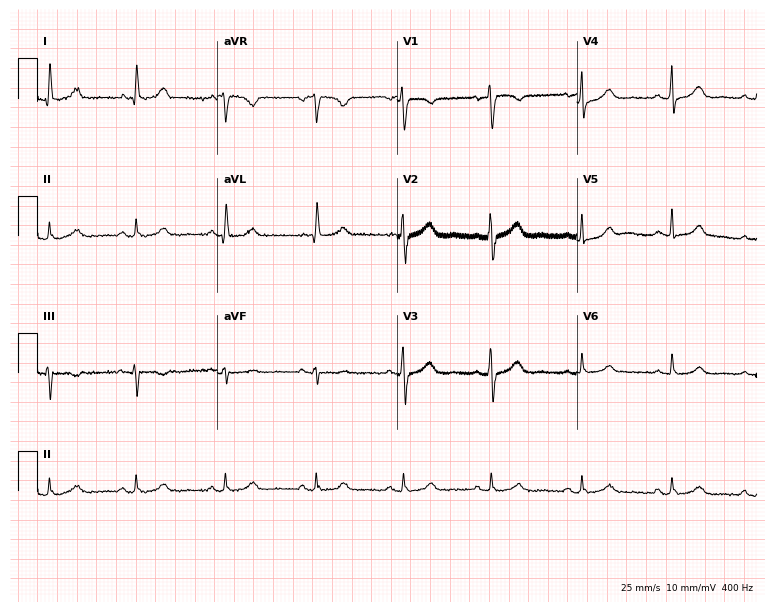
ECG — a female, 48 years old. Screened for six findings — first-degree AV block, right bundle branch block, left bundle branch block, sinus bradycardia, atrial fibrillation, sinus tachycardia — none is recorded.